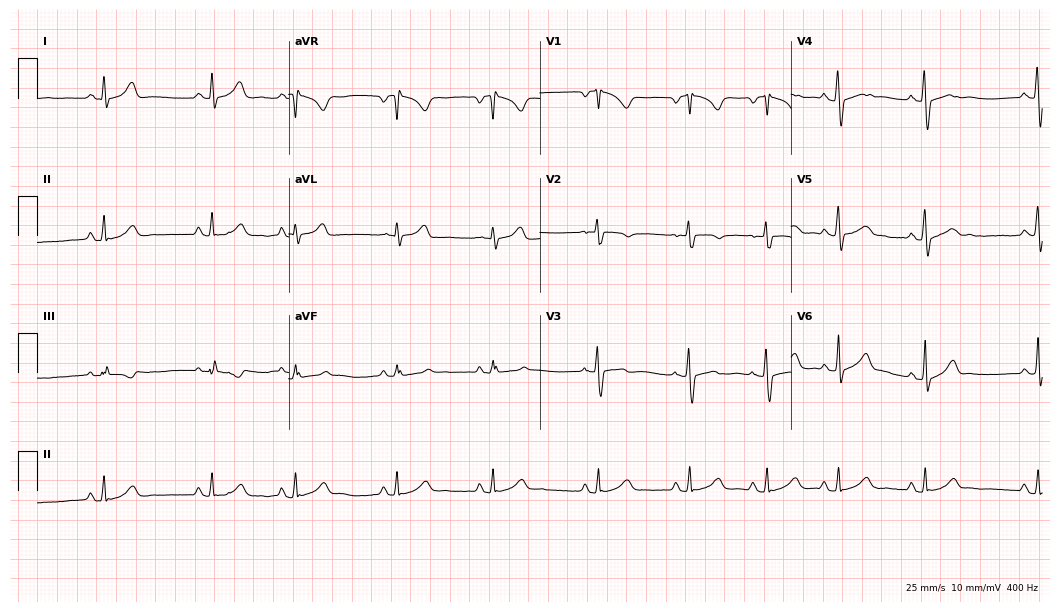
Standard 12-lead ECG recorded from a 32-year-old female patient. Read as a normal ECG.